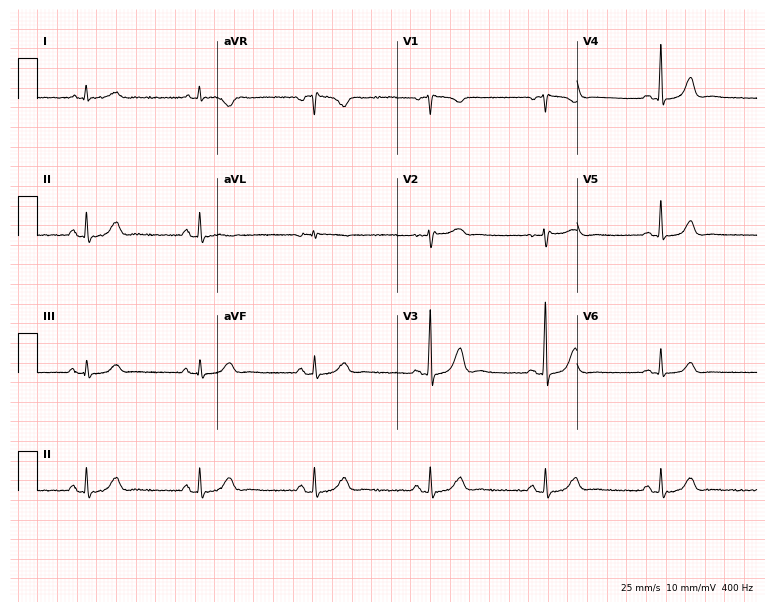
ECG — a female, 70 years old. Labelled as a normal ECG.